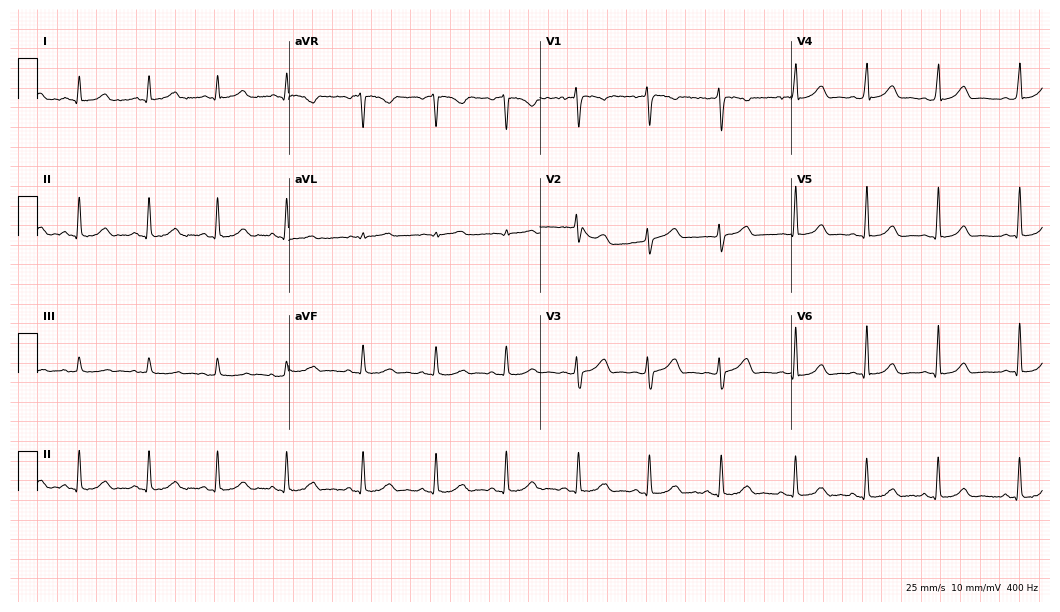
12-lead ECG from a female, 25 years old. Screened for six findings — first-degree AV block, right bundle branch block, left bundle branch block, sinus bradycardia, atrial fibrillation, sinus tachycardia — none is recorded. Only these six findings were labelled.